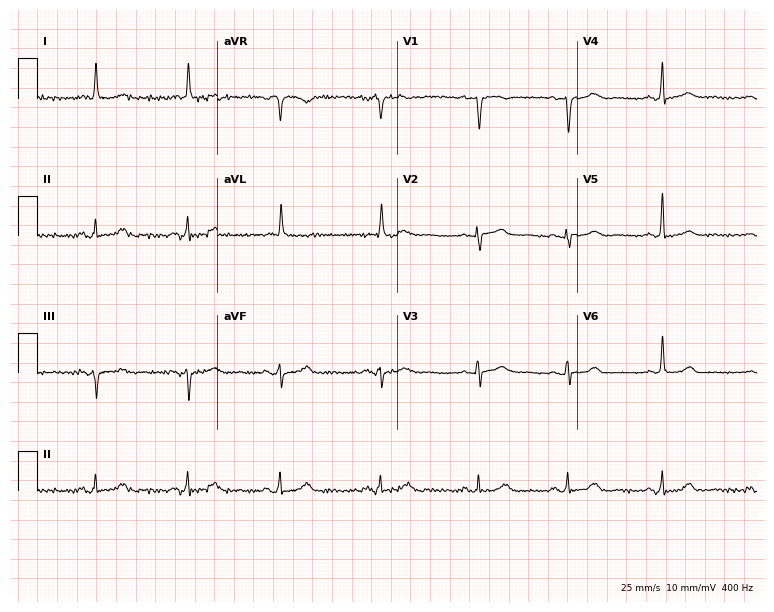
12-lead ECG from an 84-year-old woman. Screened for six findings — first-degree AV block, right bundle branch block (RBBB), left bundle branch block (LBBB), sinus bradycardia, atrial fibrillation (AF), sinus tachycardia — none is recorded. Other findings, if any, are not listed.